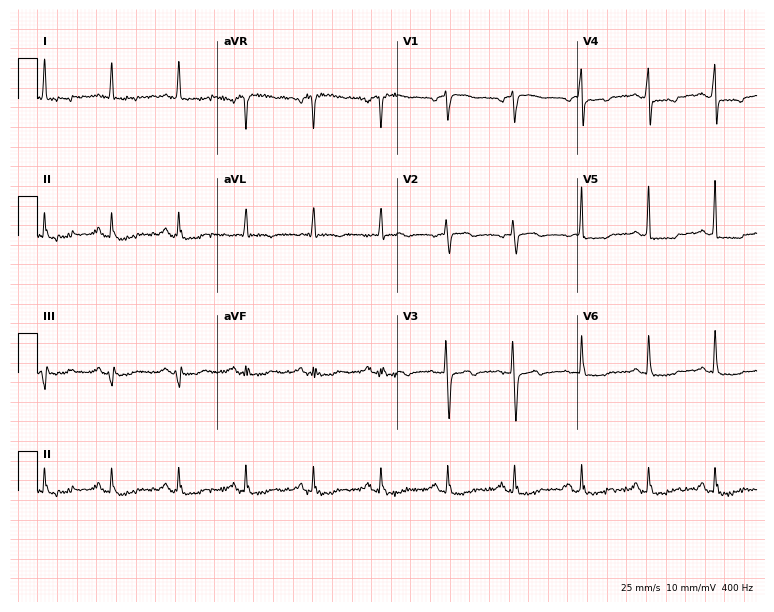
Standard 12-lead ECG recorded from a 79-year-old woman (7.3-second recording at 400 Hz). None of these six findings is recorded: first-degree AV block, right bundle branch block, left bundle branch block, sinus bradycardia, atrial fibrillation, sinus tachycardia. Findings outside these six are not listed.